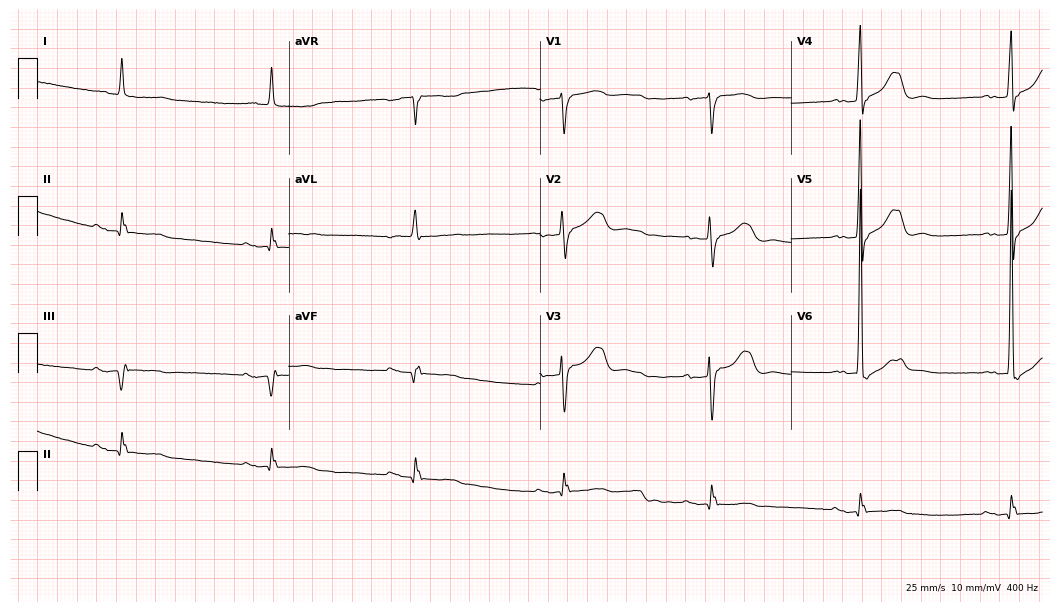
ECG — a male, 72 years old. Findings include first-degree AV block, sinus bradycardia (a sinus rate of 50 beats per minute or less).